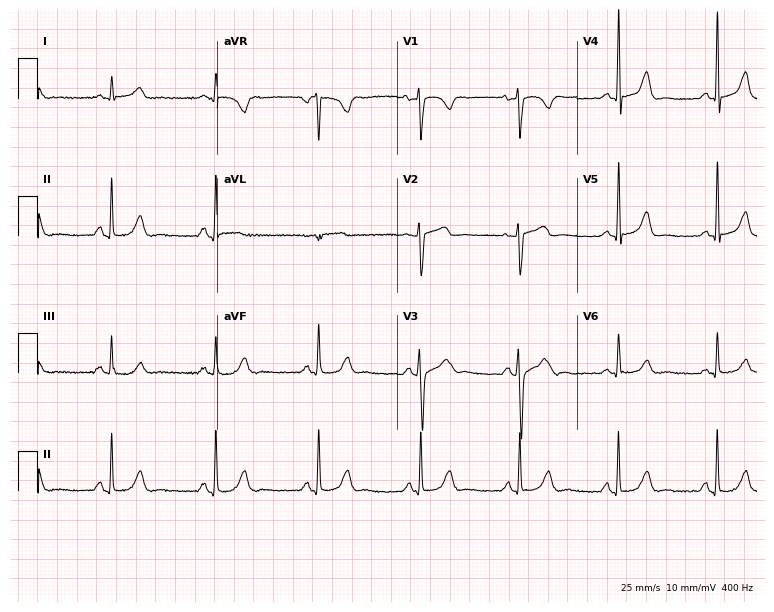
Standard 12-lead ECG recorded from a male patient, 55 years old (7.3-second recording at 400 Hz). Read as a normal ECG.